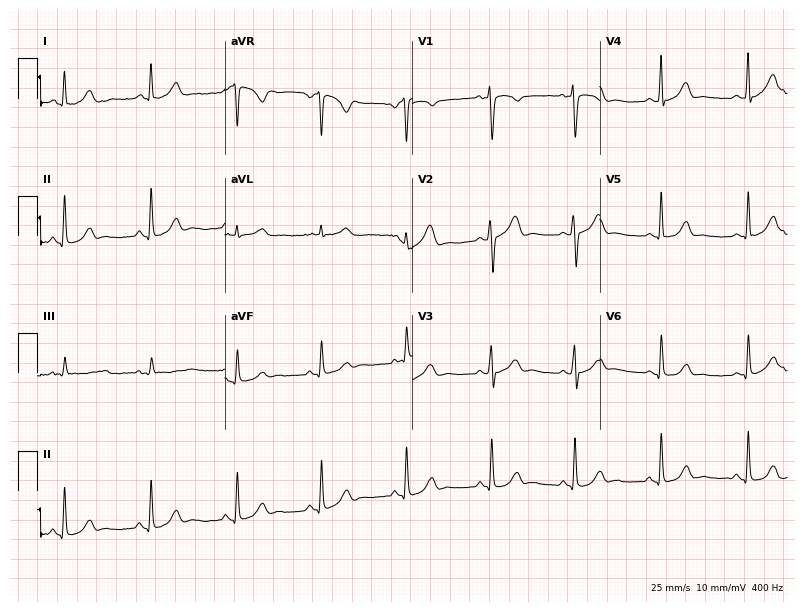
ECG — a woman, 19 years old. Labelled as a normal ECG.